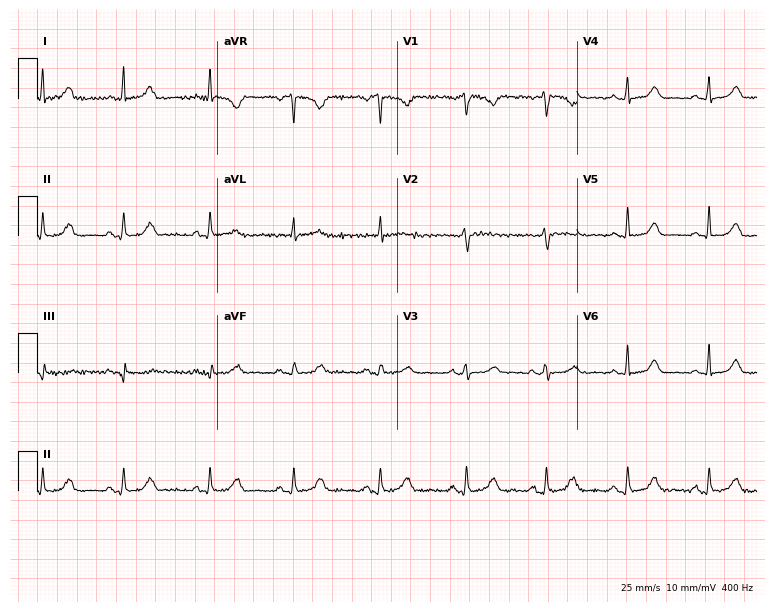
12-lead ECG from a female patient, 51 years old. Labelled as a normal ECG.